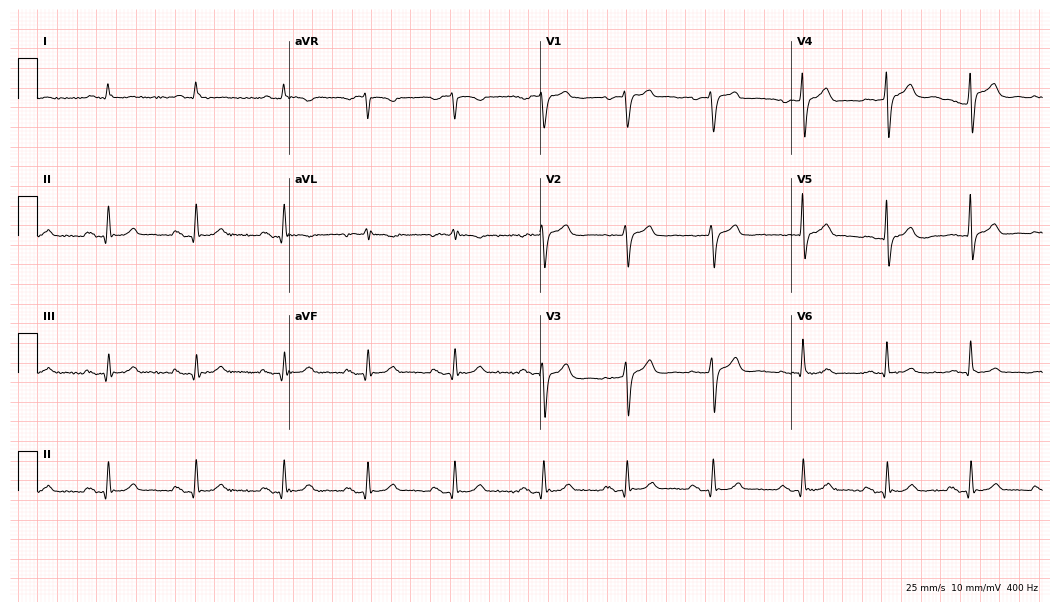
ECG (10.2-second recording at 400 Hz) — a male, 60 years old. Labelled as a normal ECG.